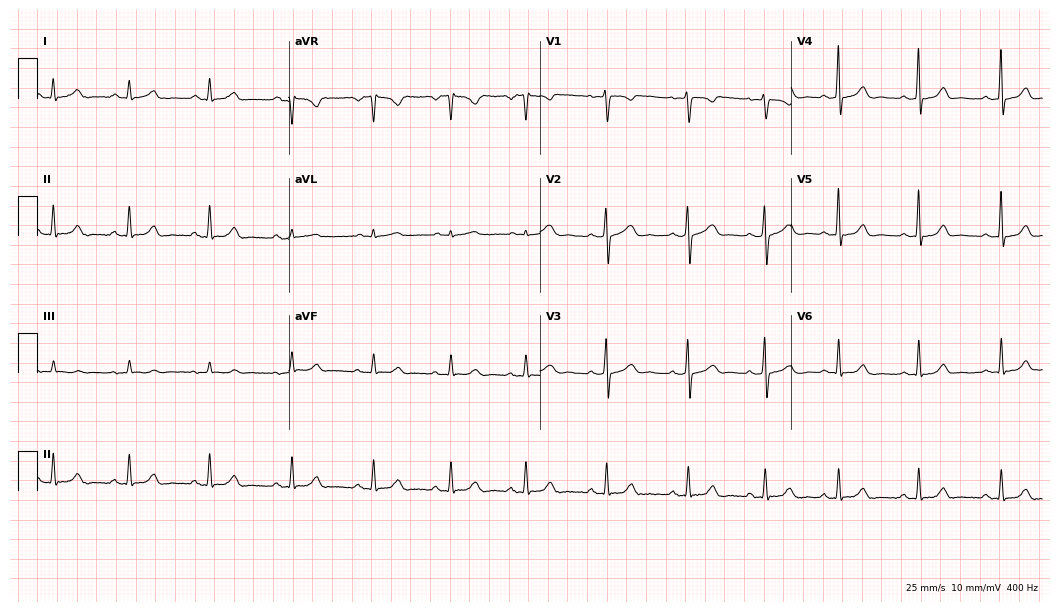
Electrocardiogram (10.2-second recording at 400 Hz), a 24-year-old woman. Overall reading on record: normal ECG.